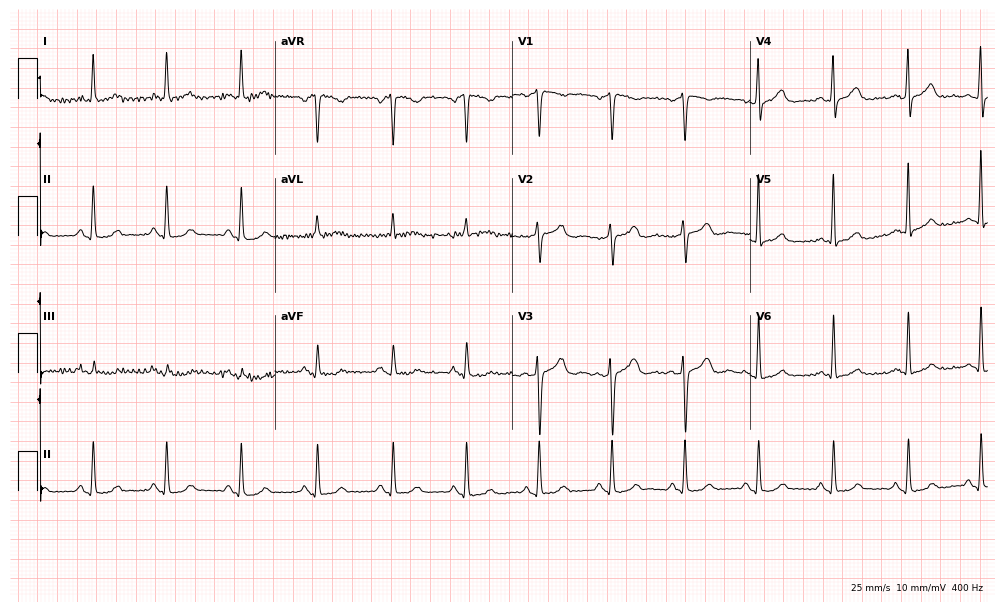
Electrocardiogram (9.7-second recording at 400 Hz), a woman, 66 years old. Overall reading on record: normal ECG.